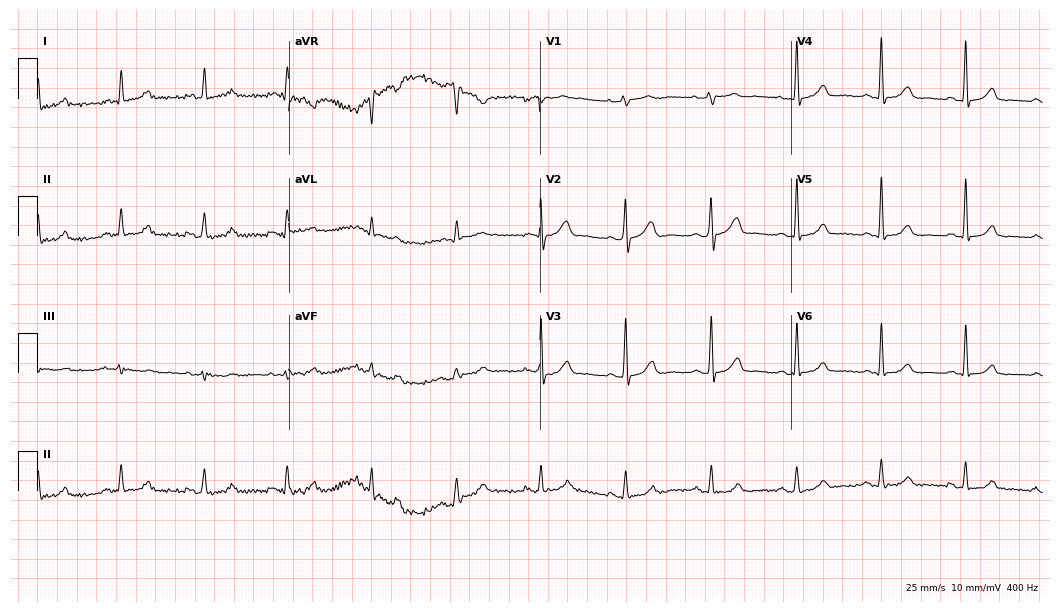
12-lead ECG from a male patient, 81 years old. Labelled as a normal ECG.